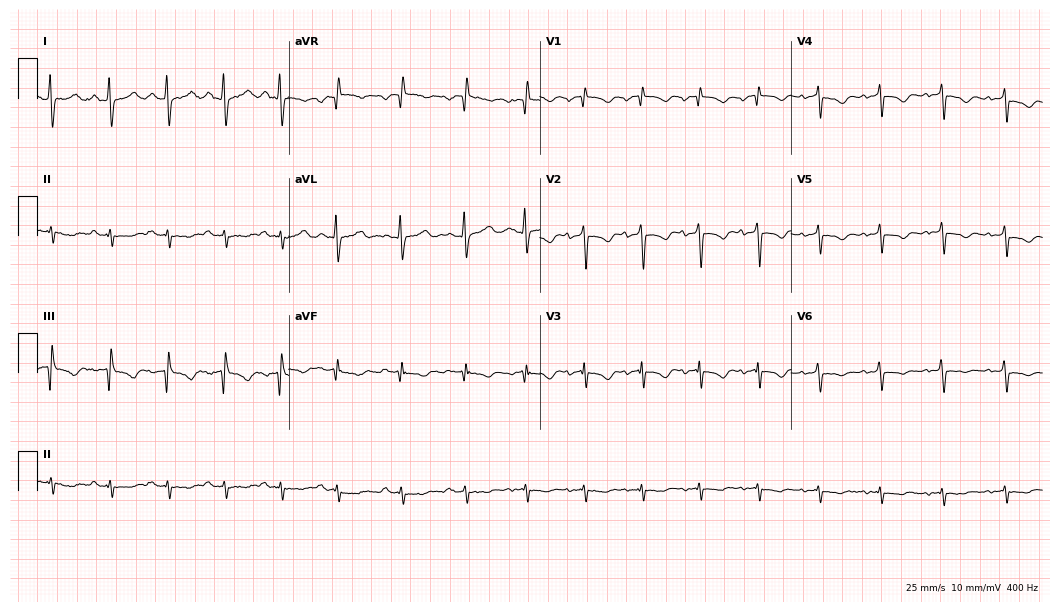
Electrocardiogram, a 75-year-old man. Of the six screened findings (first-degree AV block, right bundle branch block, left bundle branch block, sinus bradycardia, atrial fibrillation, sinus tachycardia), none is recorded. Other findings, if any, are not listed.